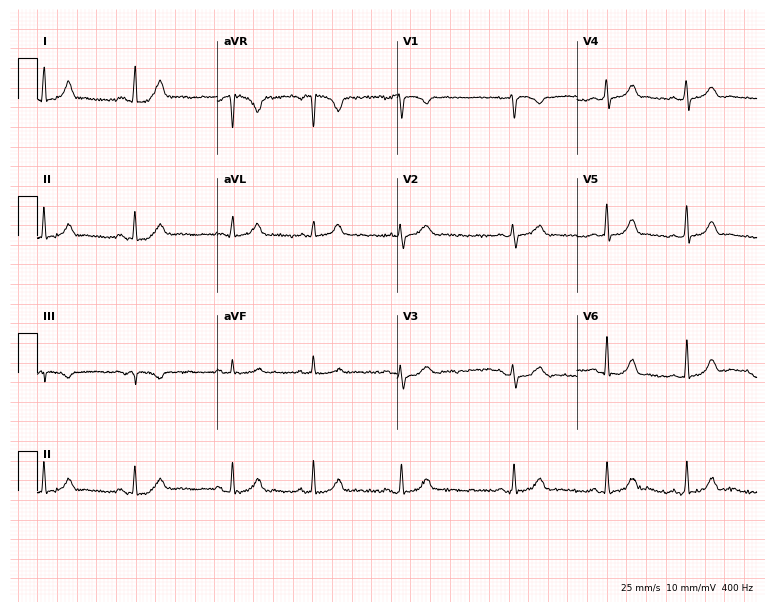
12-lead ECG from a woman, 28 years old (7.3-second recording at 400 Hz). No first-degree AV block, right bundle branch block (RBBB), left bundle branch block (LBBB), sinus bradycardia, atrial fibrillation (AF) or sinus tachycardia recorded for this tracing. Other findings, if any, are not listed.